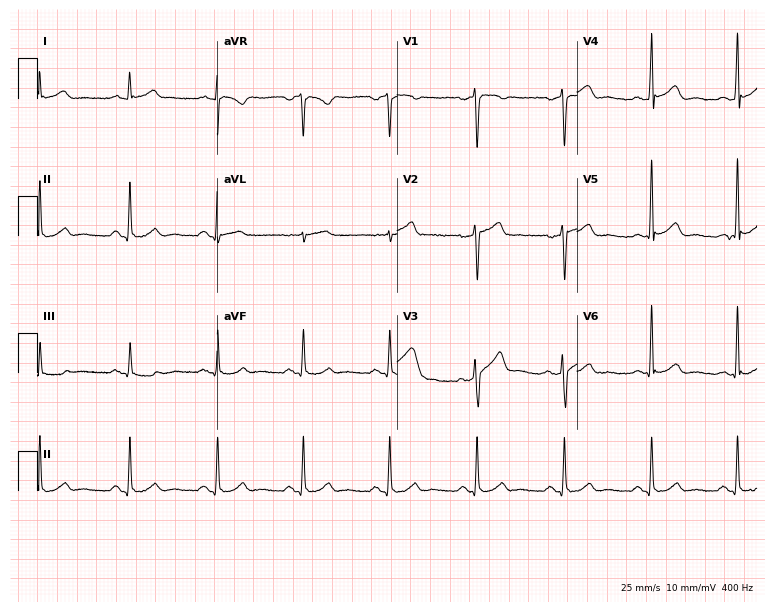
ECG (7.3-second recording at 400 Hz) — a 35-year-old male patient. Labelled as a normal ECG.